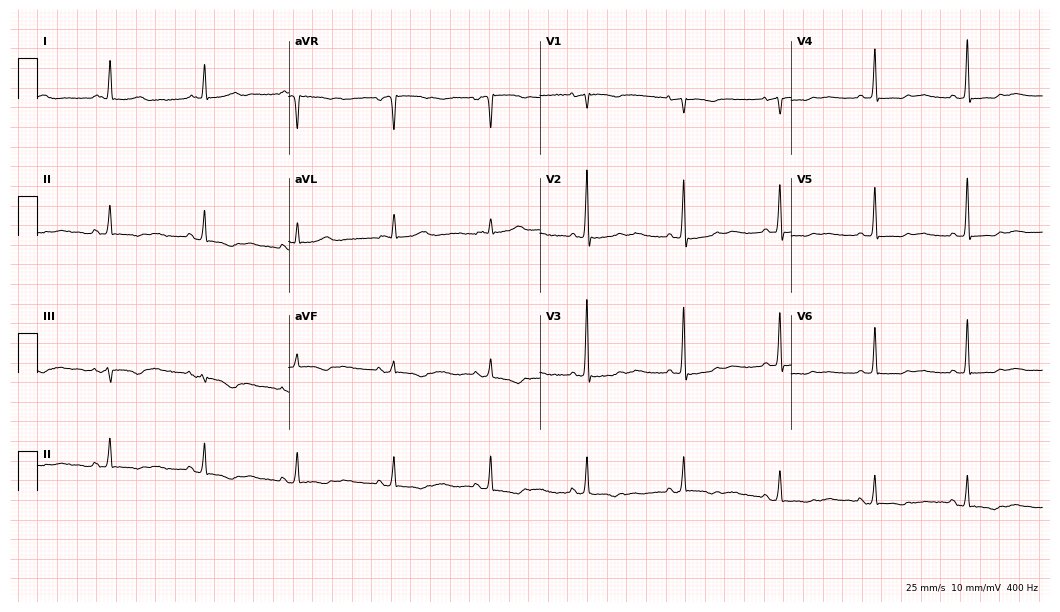
ECG — a 68-year-old female patient. Screened for six findings — first-degree AV block, right bundle branch block (RBBB), left bundle branch block (LBBB), sinus bradycardia, atrial fibrillation (AF), sinus tachycardia — none is recorded.